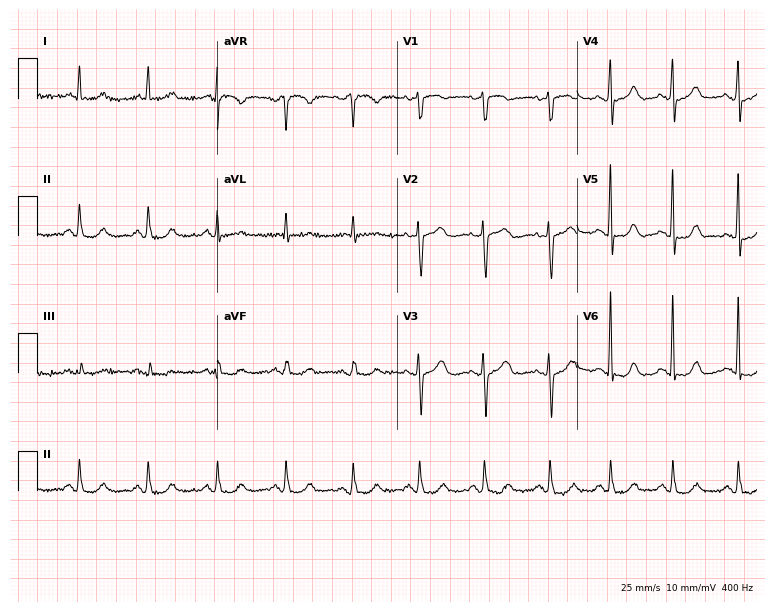
ECG — a 61-year-old woman. Labelled as a normal ECG.